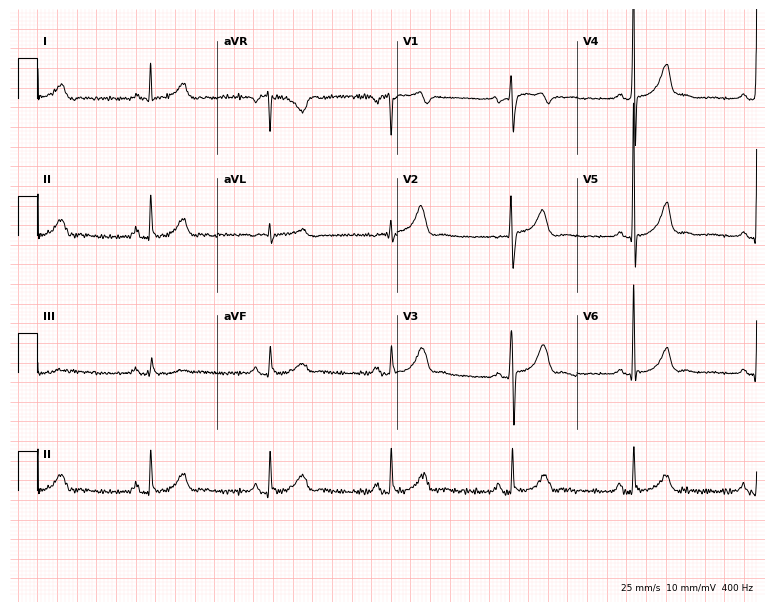
ECG — a male patient, 47 years old. Findings include sinus bradycardia (a sinus rate of 50 beats per minute or less).